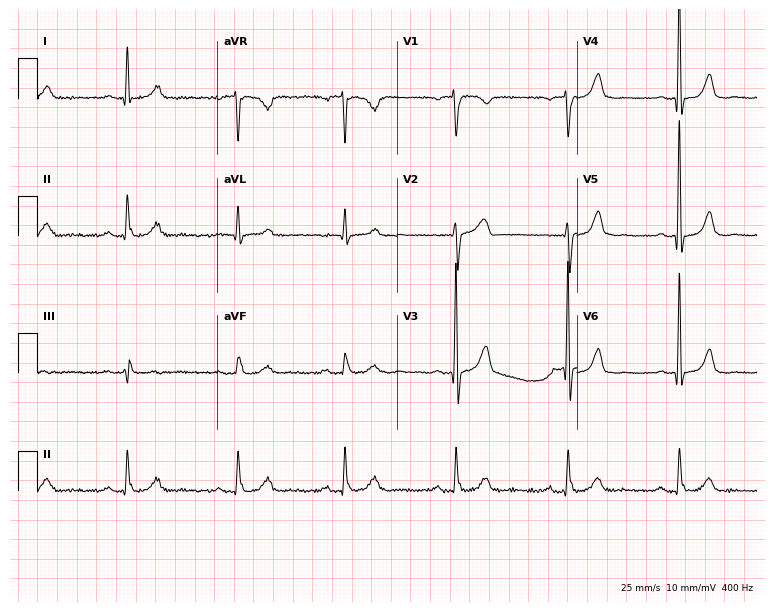
12-lead ECG from a 69-year-old male. No first-degree AV block, right bundle branch block (RBBB), left bundle branch block (LBBB), sinus bradycardia, atrial fibrillation (AF) or sinus tachycardia recorded for this tracing. Findings outside these six are not listed.